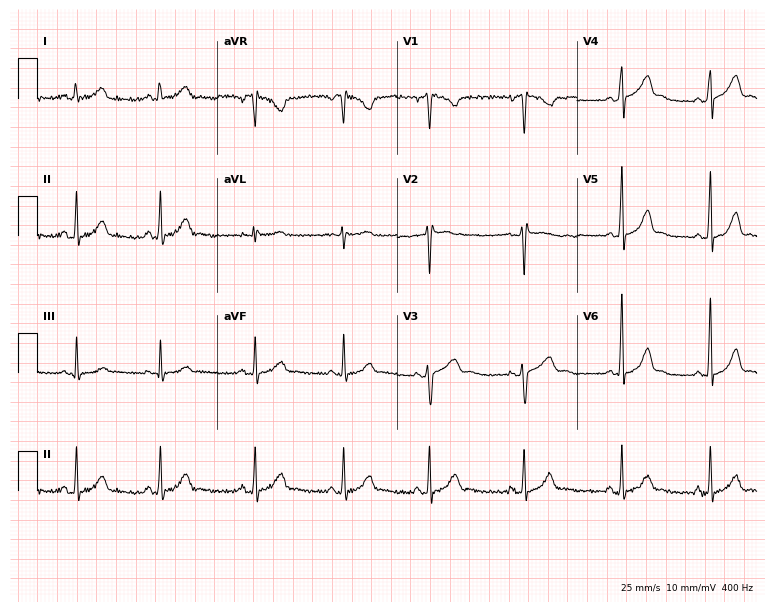
Standard 12-lead ECG recorded from a woman, 24 years old (7.3-second recording at 400 Hz). Read as a normal ECG.